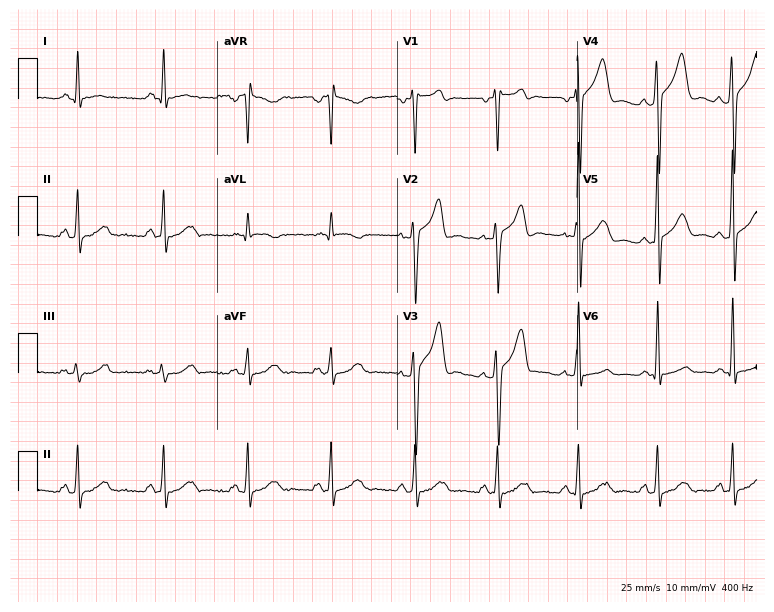
Electrocardiogram (7.3-second recording at 400 Hz), a man, 21 years old. Of the six screened findings (first-degree AV block, right bundle branch block, left bundle branch block, sinus bradycardia, atrial fibrillation, sinus tachycardia), none is recorded. Other findings, if any, are not listed.